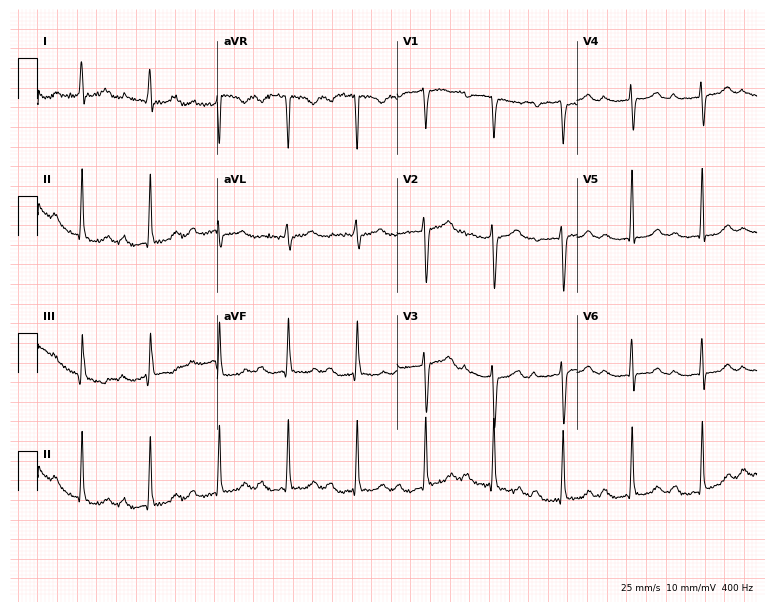
ECG (7.3-second recording at 400 Hz) — a 54-year-old female. Screened for six findings — first-degree AV block, right bundle branch block, left bundle branch block, sinus bradycardia, atrial fibrillation, sinus tachycardia — none is recorded. Other findings, if any, are not listed.